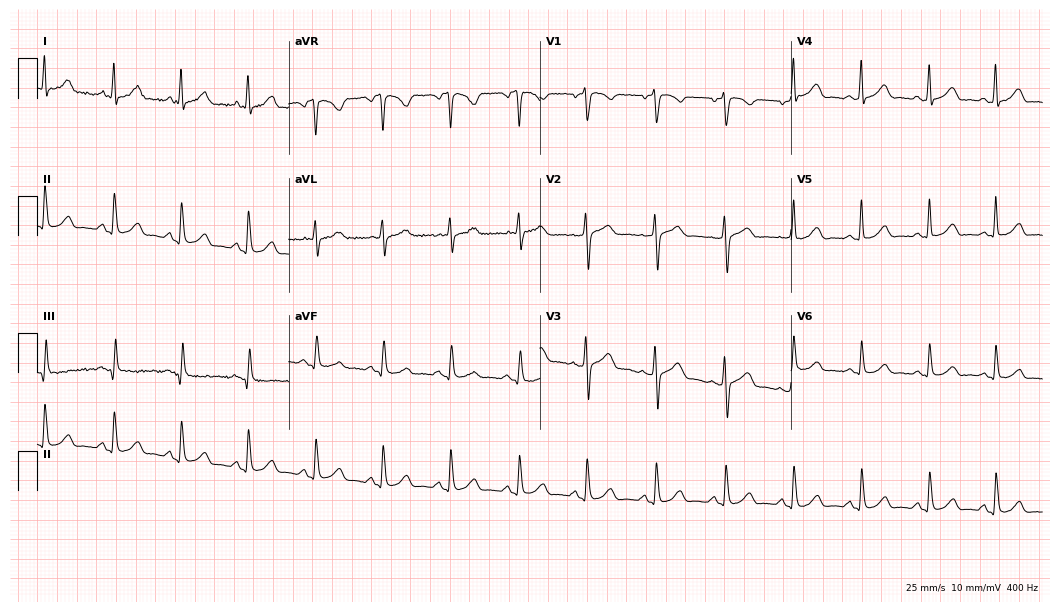
12-lead ECG from a 37-year-old female. Labelled as a normal ECG.